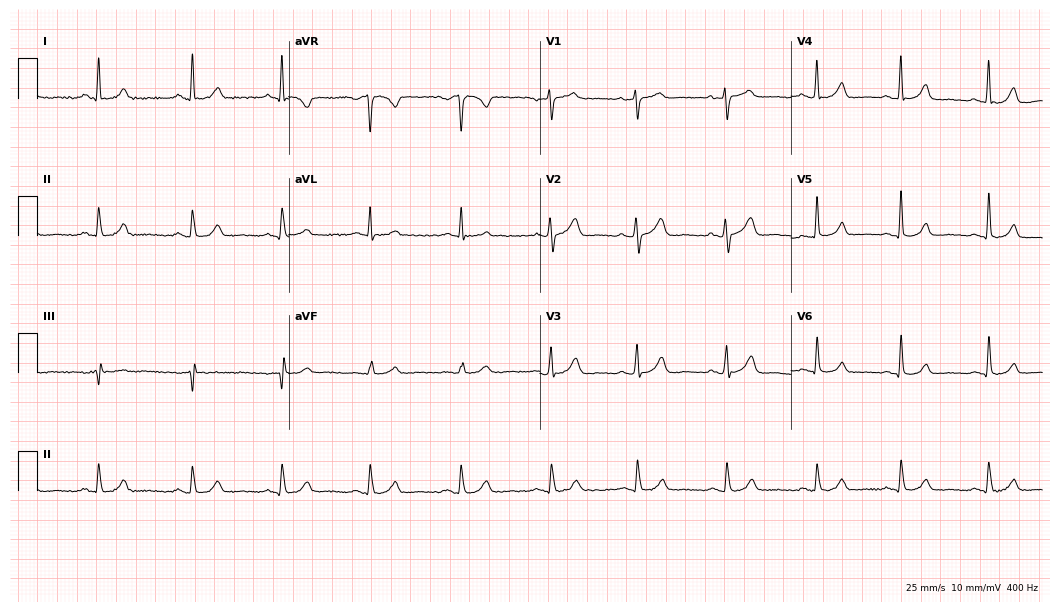
Resting 12-lead electrocardiogram. Patient: a 53-year-old woman. None of these six findings is recorded: first-degree AV block, right bundle branch block, left bundle branch block, sinus bradycardia, atrial fibrillation, sinus tachycardia.